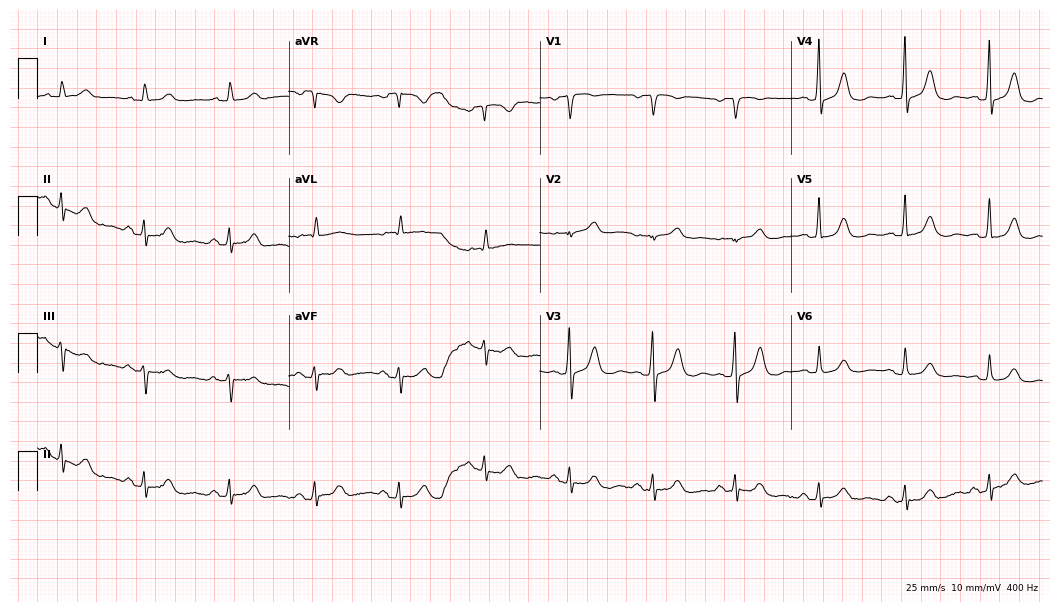
12-lead ECG from an 84-year-old female patient. Labelled as a normal ECG.